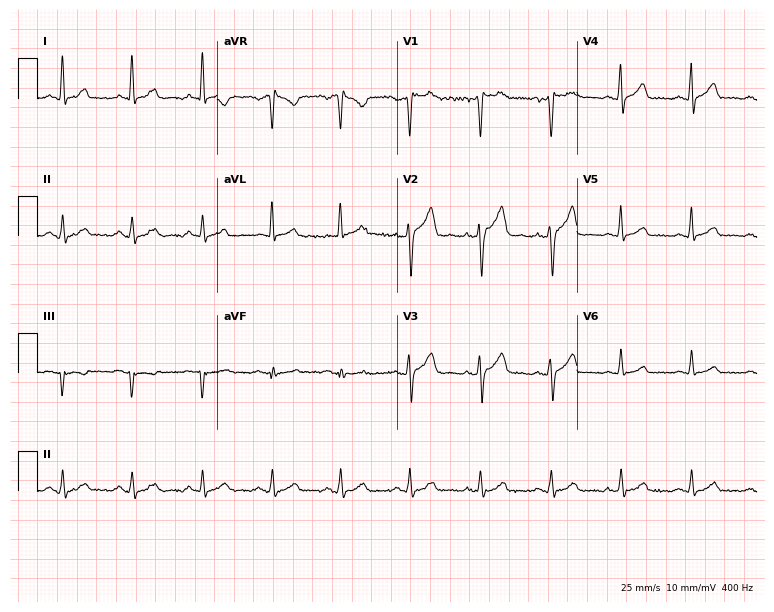
Resting 12-lead electrocardiogram (7.3-second recording at 400 Hz). Patient: a male, 52 years old. Read as a normal ECG.